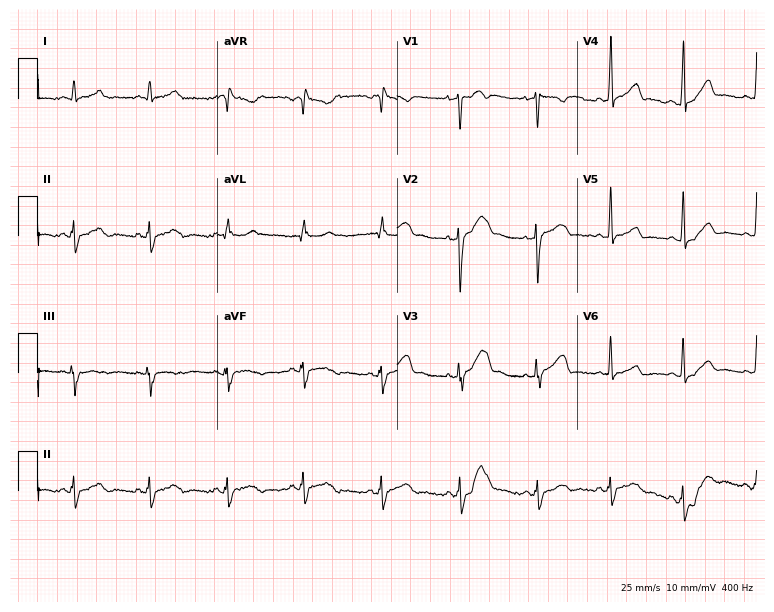
12-lead ECG from a 36-year-old man. No first-degree AV block, right bundle branch block, left bundle branch block, sinus bradycardia, atrial fibrillation or sinus tachycardia recorded for this tracing. Findings outside these six are not listed.